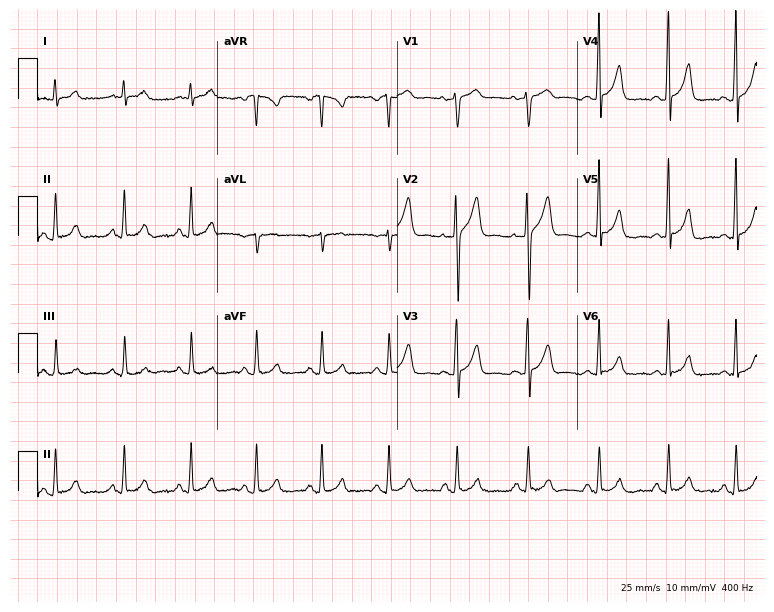
12-lead ECG from a male, 43 years old. Recorded interpretation: within normal limits.